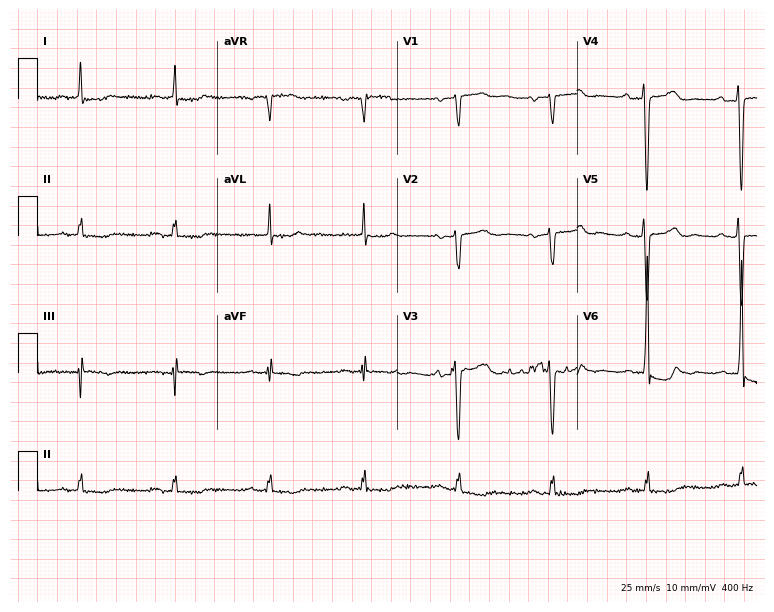
ECG (7.3-second recording at 400 Hz) — a 66-year-old male patient. Screened for six findings — first-degree AV block, right bundle branch block (RBBB), left bundle branch block (LBBB), sinus bradycardia, atrial fibrillation (AF), sinus tachycardia — none is recorded.